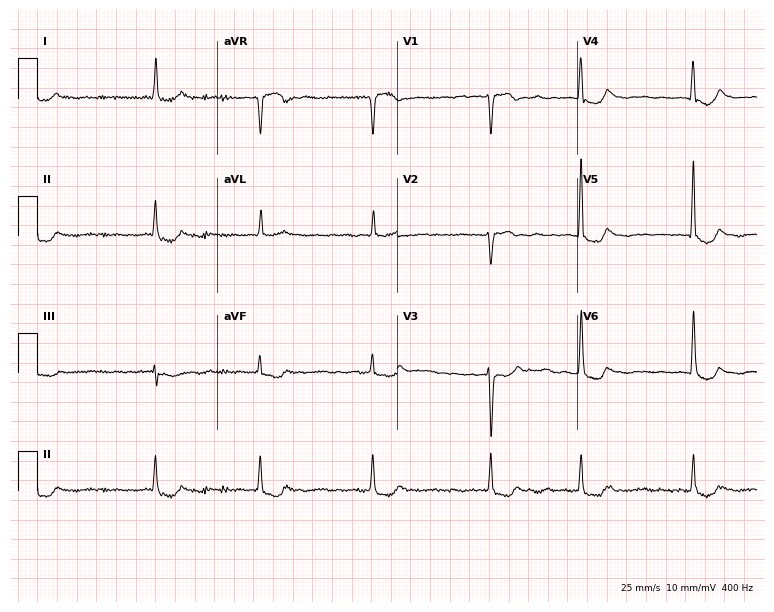
ECG (7.3-second recording at 400 Hz) — an 85-year-old female patient. Findings include atrial fibrillation (AF).